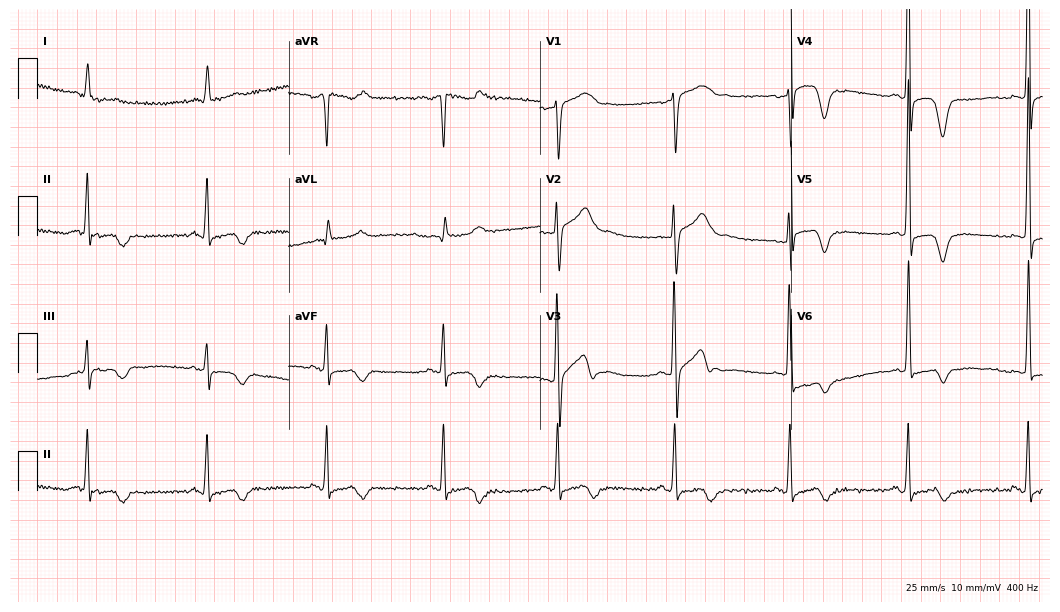
12-lead ECG (10.2-second recording at 400 Hz) from a 66-year-old man. Findings include sinus bradycardia (a sinus rate of 50 beats per minute or less).